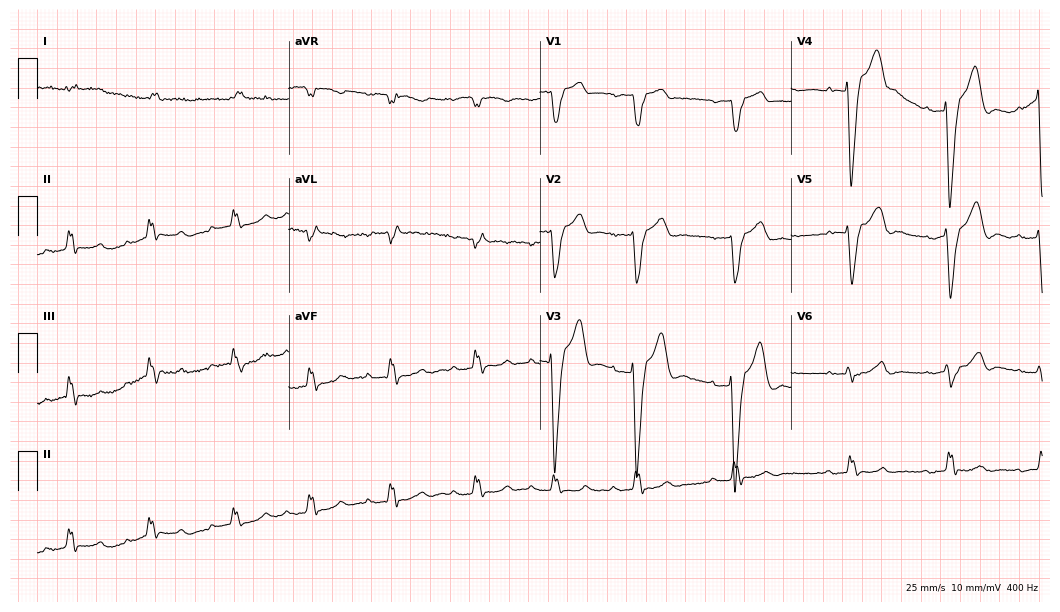
Resting 12-lead electrocardiogram. Patient: a male, 75 years old. The tracing shows left bundle branch block.